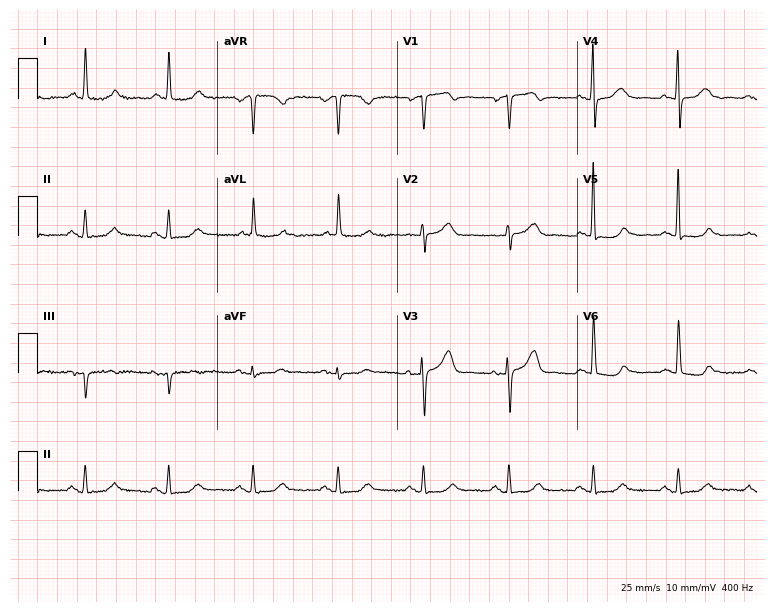
12-lead ECG from a 67-year-old woman. No first-degree AV block, right bundle branch block, left bundle branch block, sinus bradycardia, atrial fibrillation or sinus tachycardia recorded for this tracing. Other findings, if any, are not listed.